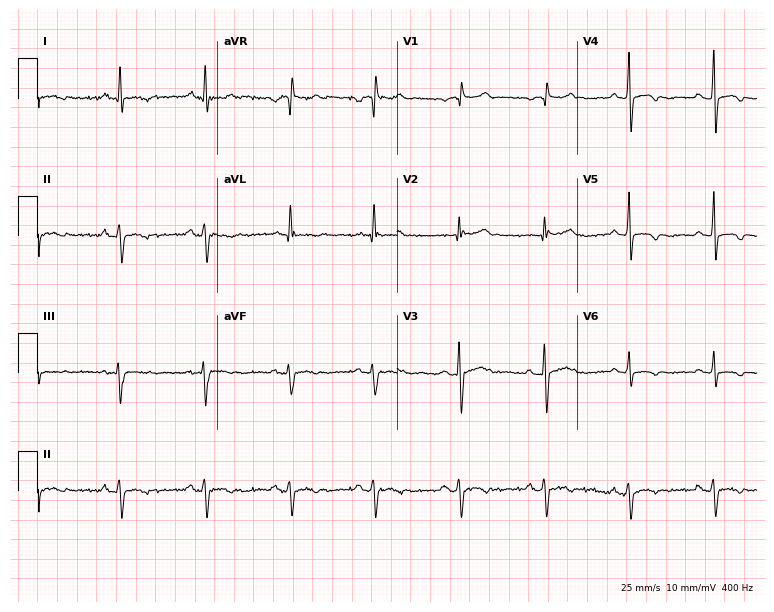
Standard 12-lead ECG recorded from a 47-year-old male patient (7.3-second recording at 400 Hz). None of these six findings is recorded: first-degree AV block, right bundle branch block, left bundle branch block, sinus bradycardia, atrial fibrillation, sinus tachycardia.